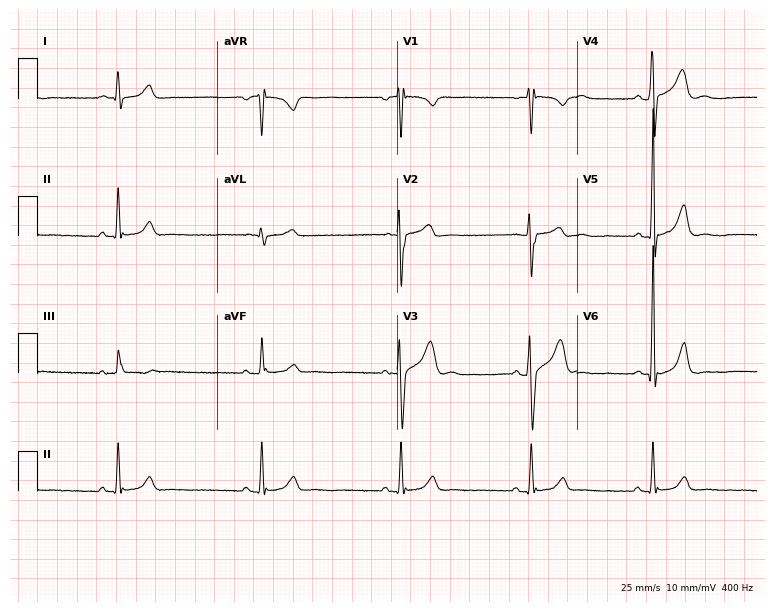
ECG — a male patient, 20 years old. Findings include sinus bradycardia (a sinus rate of 50 beats per minute or less).